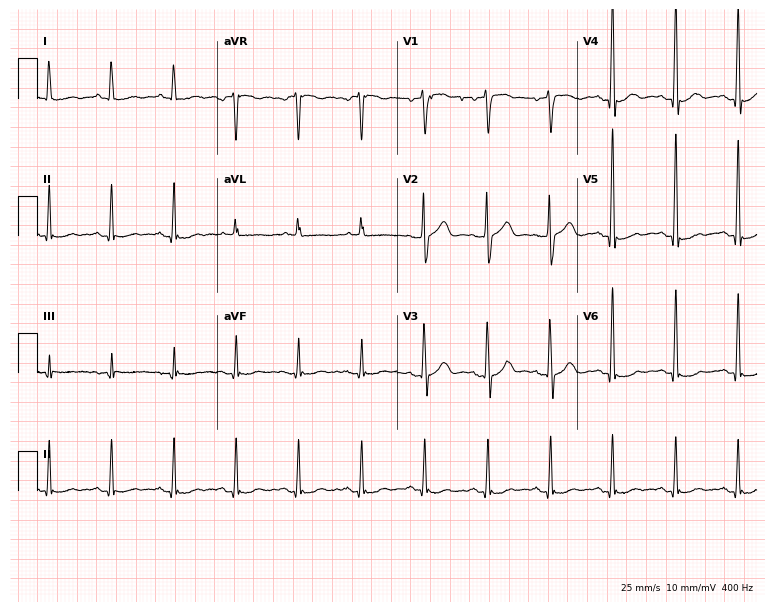
Electrocardiogram (7.3-second recording at 400 Hz), a male, 70 years old. Overall reading on record: normal ECG.